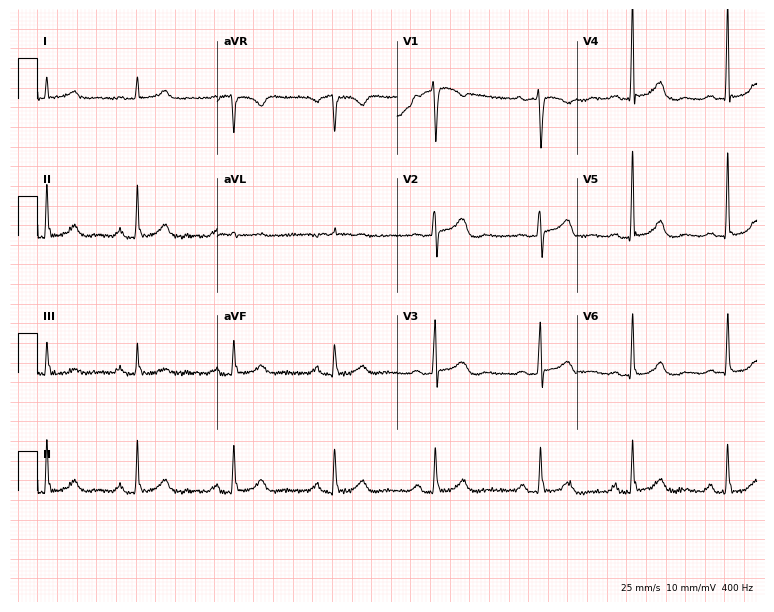
12-lead ECG from a woman, 70 years old. Recorded interpretation: within normal limits.